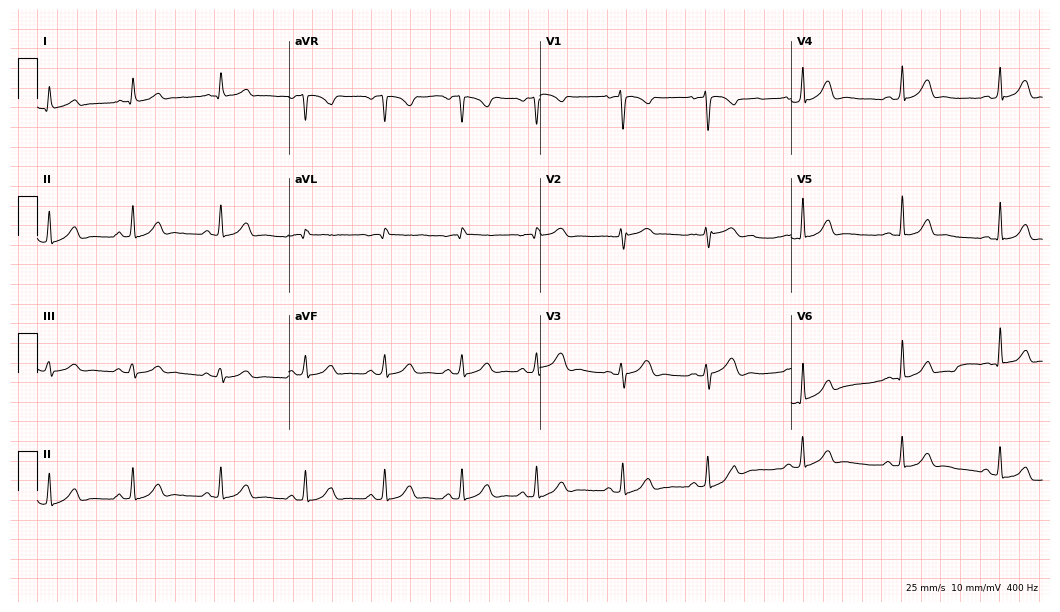
ECG — a woman, 28 years old. Labelled as a normal ECG.